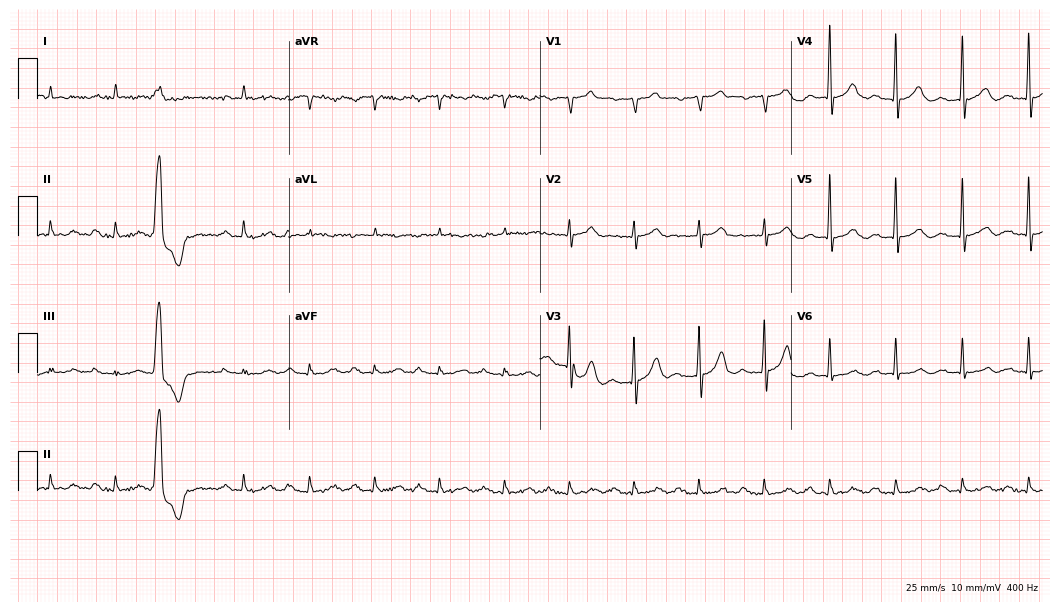
Electrocardiogram (10.2-second recording at 400 Hz), a man, 85 years old. Overall reading on record: normal ECG.